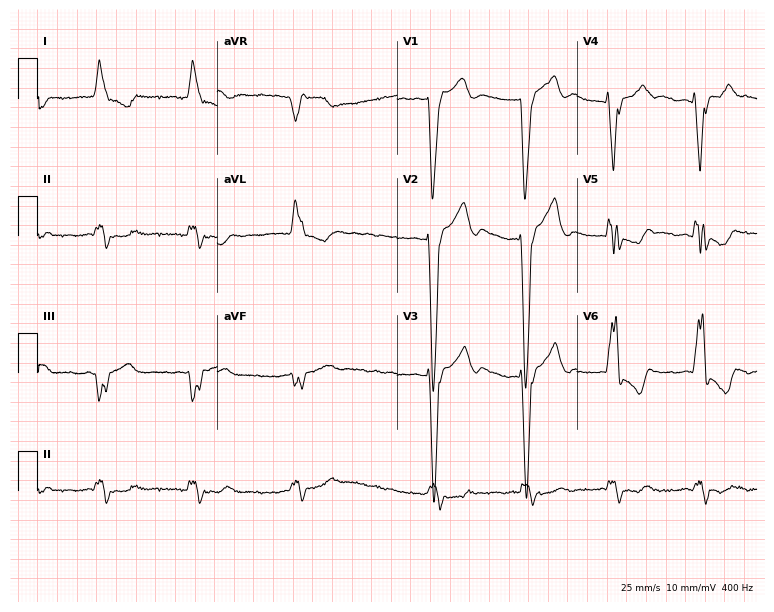
Resting 12-lead electrocardiogram. Patient: a male, 76 years old. The tracing shows left bundle branch block, atrial fibrillation.